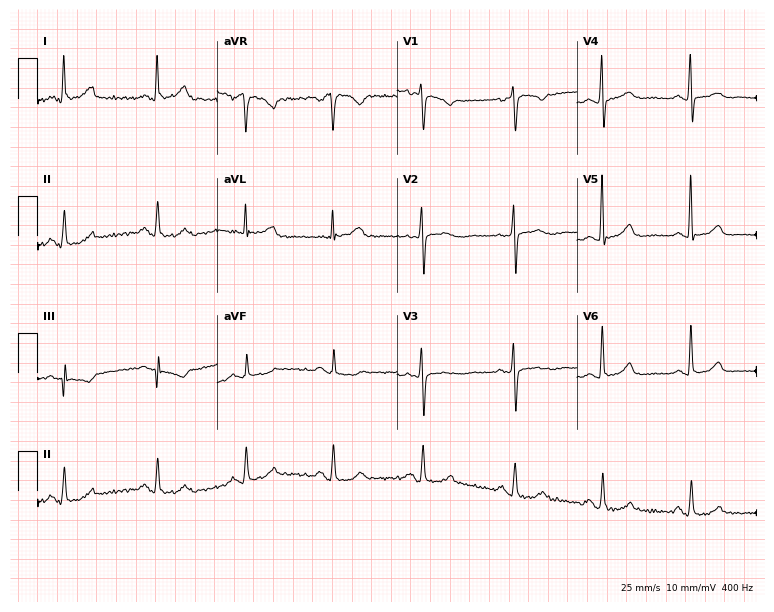
12-lead ECG from an 83-year-old woman (7.3-second recording at 400 Hz). No first-degree AV block, right bundle branch block, left bundle branch block, sinus bradycardia, atrial fibrillation or sinus tachycardia recorded for this tracing.